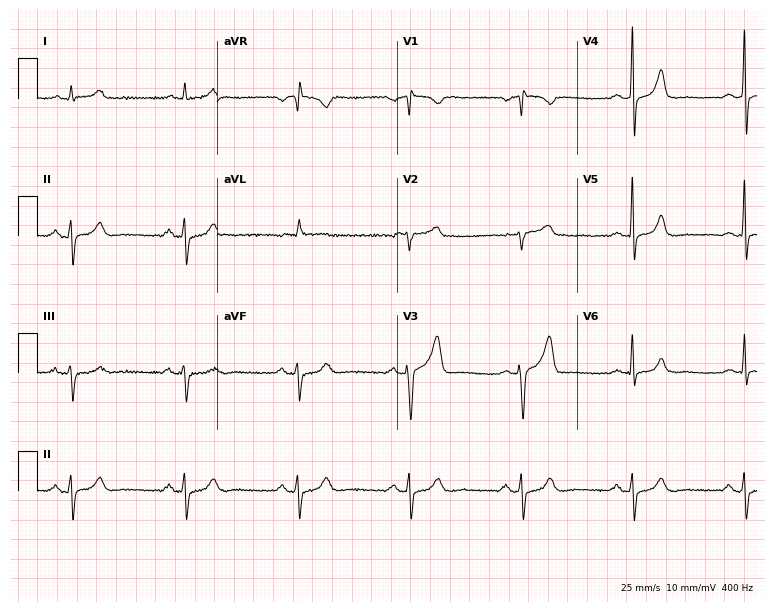
12-lead ECG (7.3-second recording at 400 Hz) from an 83-year-old man. Screened for six findings — first-degree AV block, right bundle branch block (RBBB), left bundle branch block (LBBB), sinus bradycardia, atrial fibrillation (AF), sinus tachycardia — none is recorded.